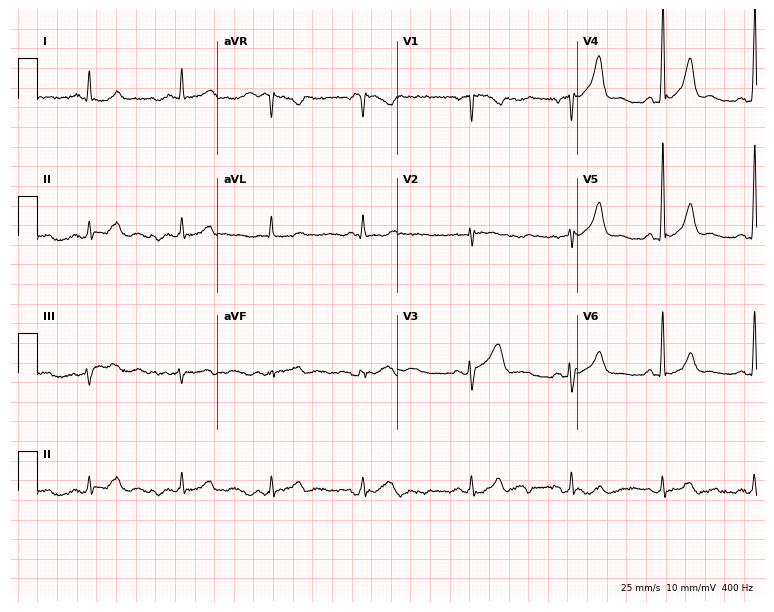
Electrocardiogram (7.3-second recording at 400 Hz), a woman, 33 years old. Of the six screened findings (first-degree AV block, right bundle branch block, left bundle branch block, sinus bradycardia, atrial fibrillation, sinus tachycardia), none is recorded. Only these six findings were labelled.